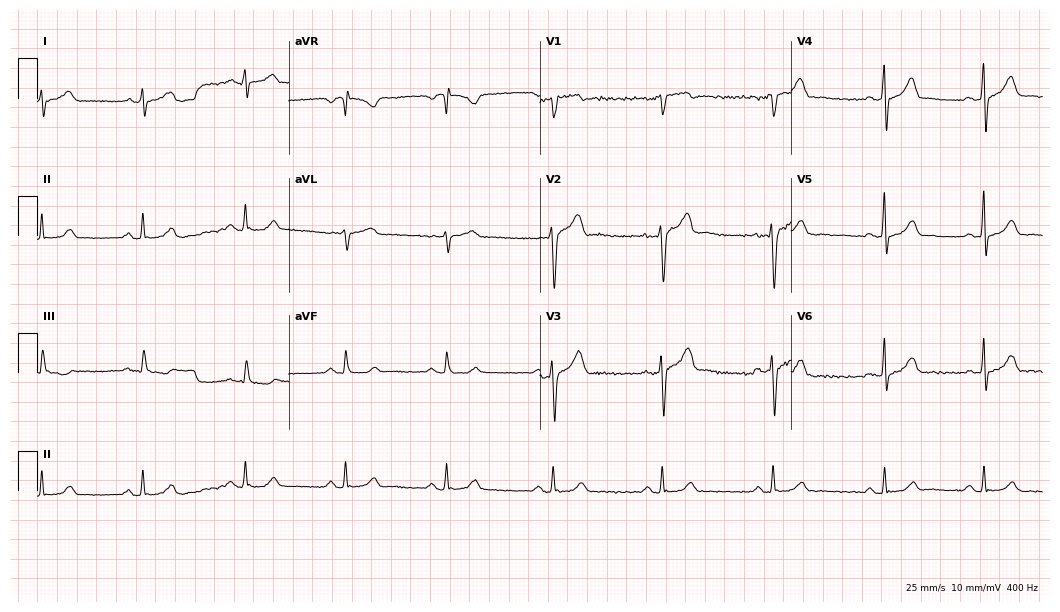
Resting 12-lead electrocardiogram (10.2-second recording at 400 Hz). Patient: a 41-year-old man. Read as a normal ECG.